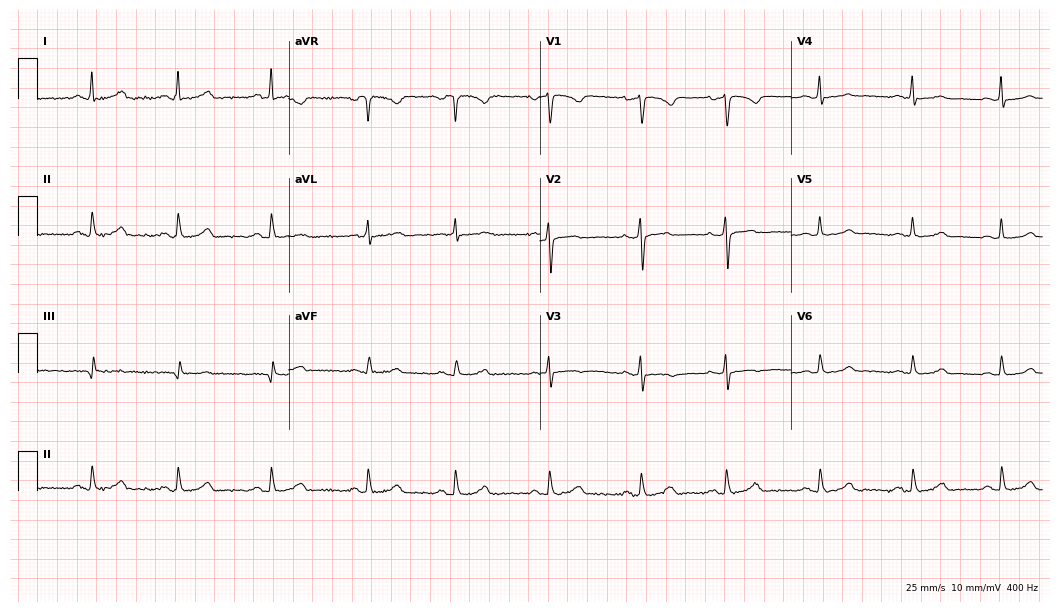
12-lead ECG from a 30-year-old woman. Labelled as a normal ECG.